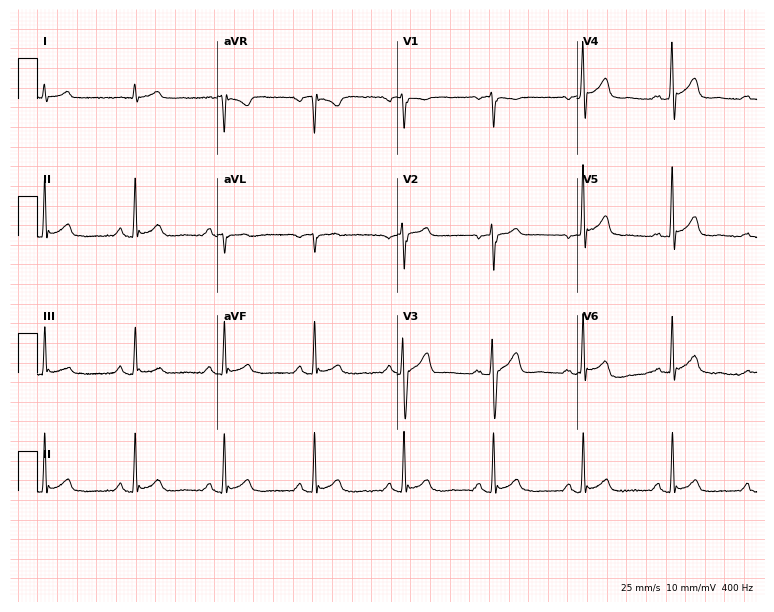
ECG (7.3-second recording at 400 Hz) — a 48-year-old male. Screened for six findings — first-degree AV block, right bundle branch block (RBBB), left bundle branch block (LBBB), sinus bradycardia, atrial fibrillation (AF), sinus tachycardia — none is recorded. Findings outside these six are not listed.